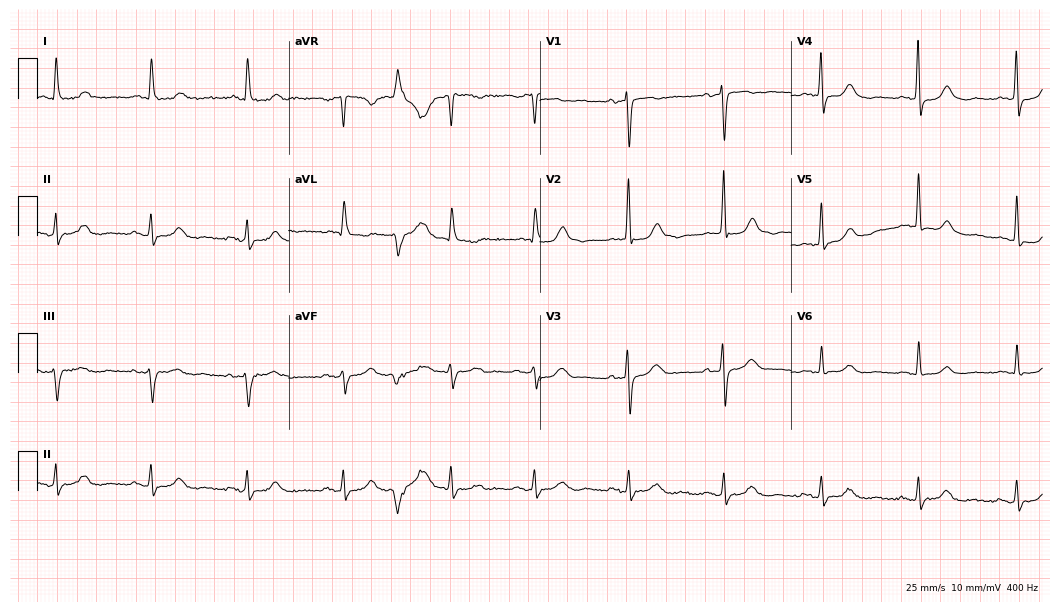
Electrocardiogram, a female, 87 years old. Overall reading on record: normal ECG.